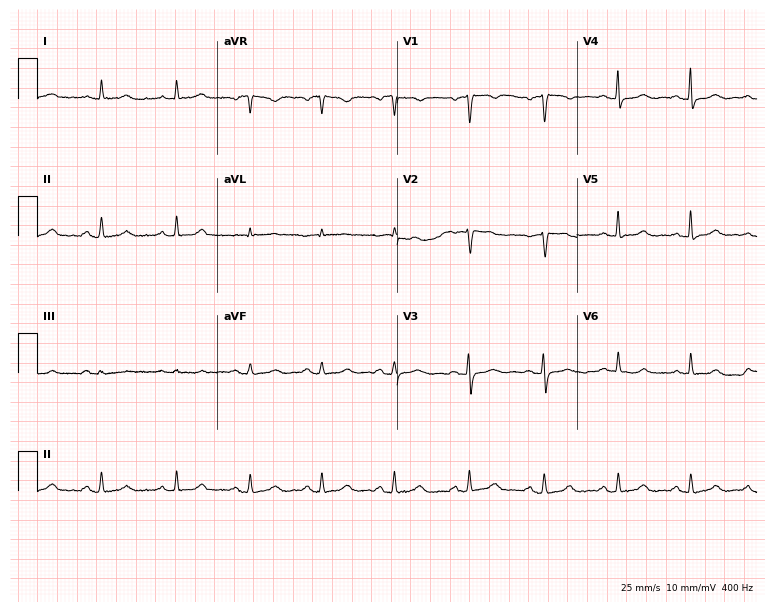
Electrocardiogram, a 56-year-old woman. Overall reading on record: normal ECG.